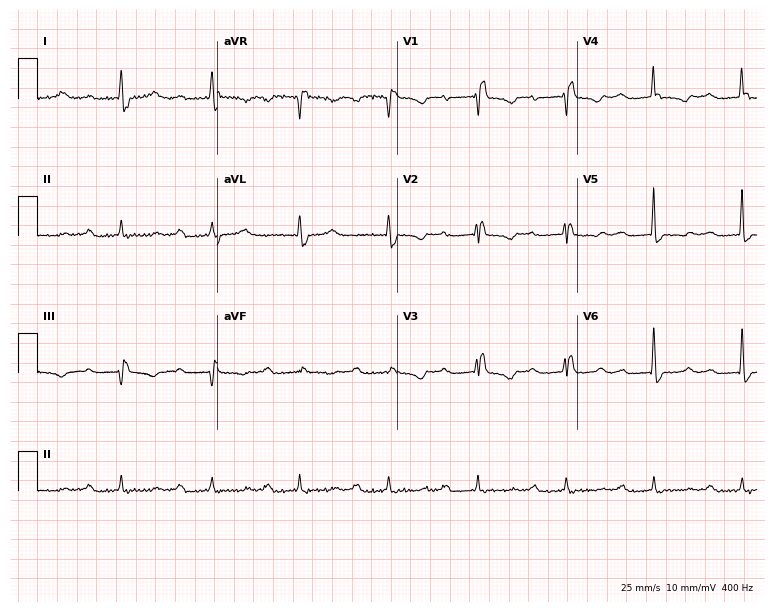
Electrocardiogram, a 47-year-old woman. Interpretation includes right bundle branch block (RBBB).